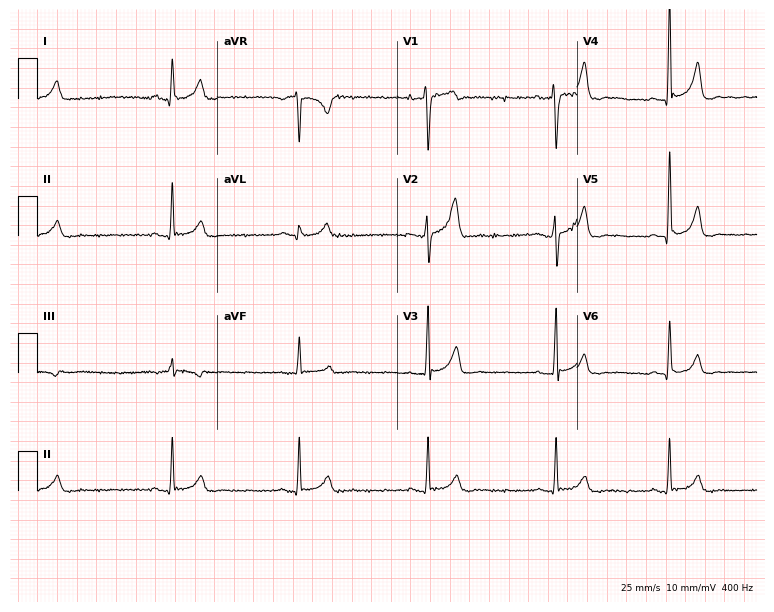
12-lead ECG from a 34-year-old male. Findings include sinus bradycardia (a sinus rate of 50 beats per minute or less).